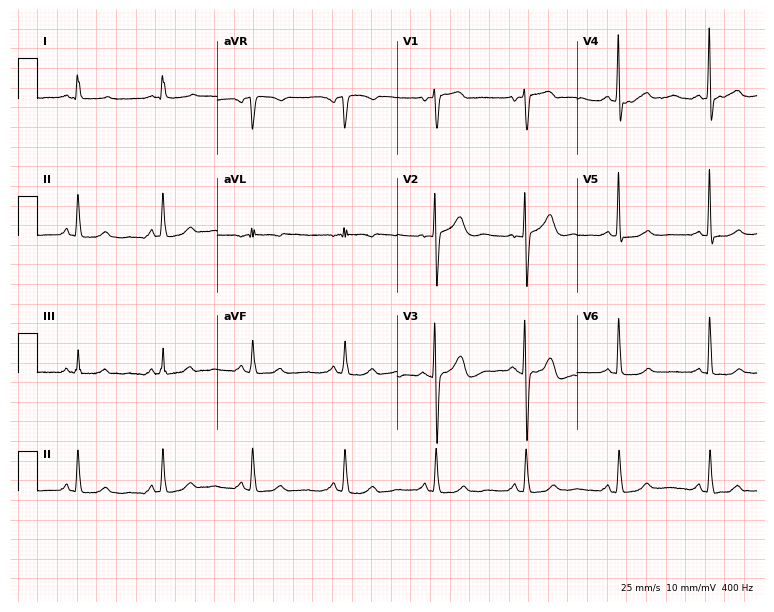
Electrocardiogram (7.3-second recording at 400 Hz), a 55-year-old woman. Of the six screened findings (first-degree AV block, right bundle branch block, left bundle branch block, sinus bradycardia, atrial fibrillation, sinus tachycardia), none is recorded. Other findings, if any, are not listed.